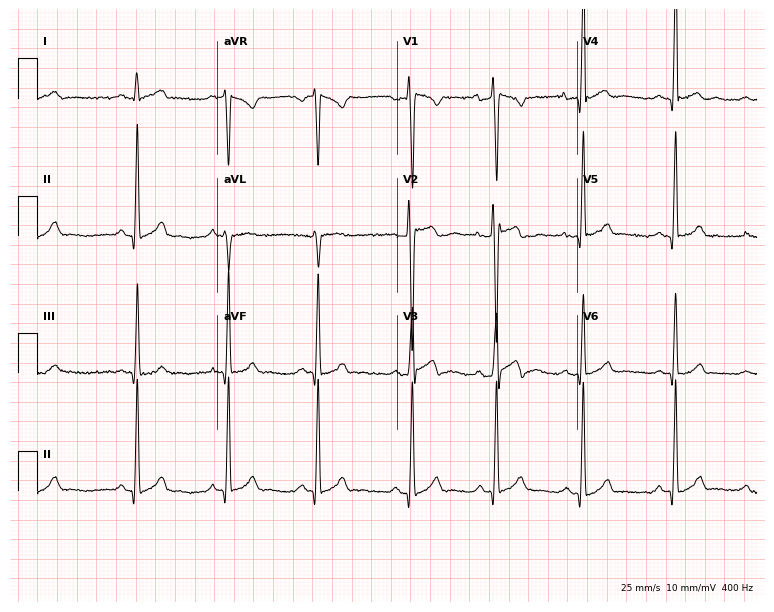
12-lead ECG from a 19-year-old male patient. Screened for six findings — first-degree AV block, right bundle branch block (RBBB), left bundle branch block (LBBB), sinus bradycardia, atrial fibrillation (AF), sinus tachycardia — none is recorded. Other findings, if any, are not listed.